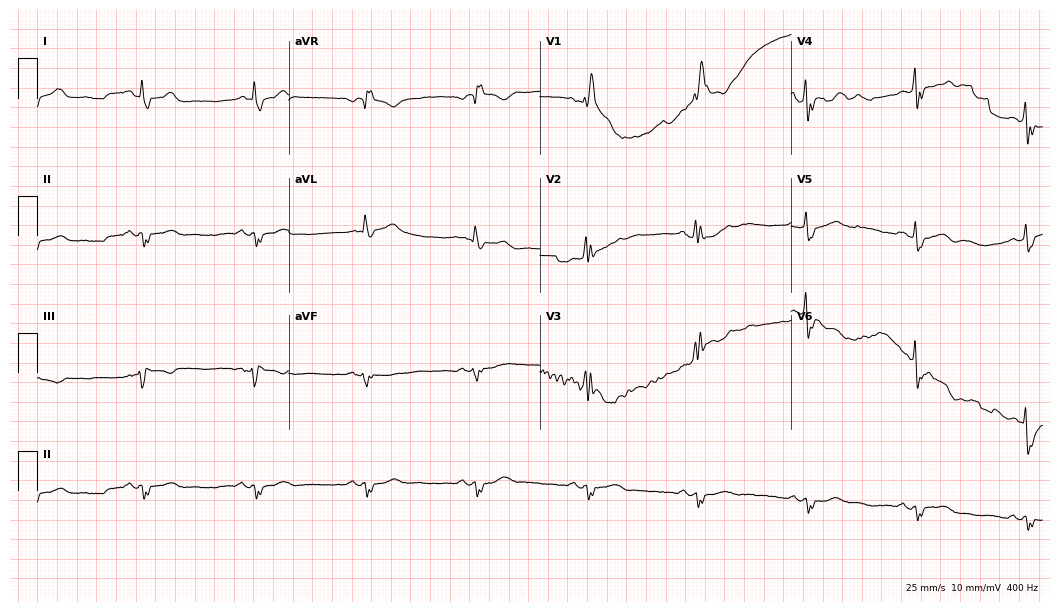
12-lead ECG (10.2-second recording at 400 Hz) from a male patient, 65 years old. Screened for six findings — first-degree AV block, right bundle branch block, left bundle branch block, sinus bradycardia, atrial fibrillation, sinus tachycardia — none is recorded. Other findings, if any, are not listed.